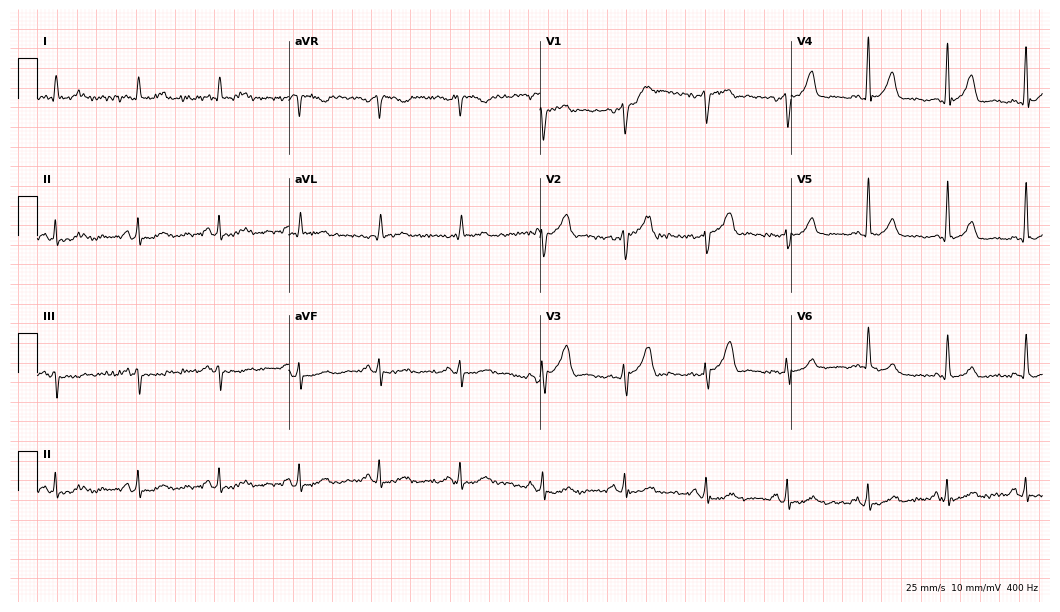
ECG (10.2-second recording at 400 Hz) — a male patient, 71 years old. Labelled as a normal ECG.